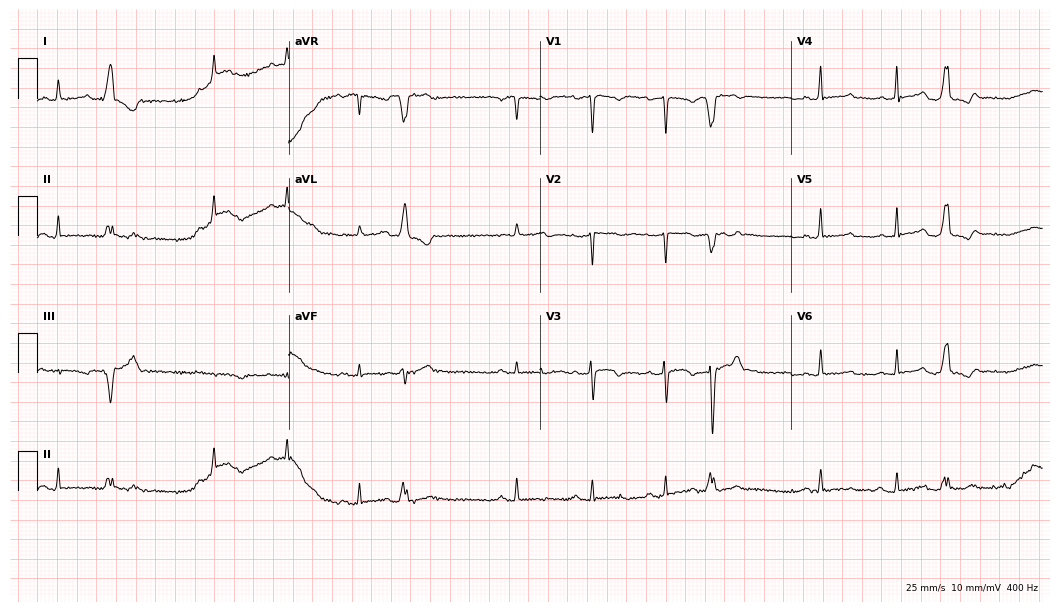
Electrocardiogram, a woman, 28 years old. Of the six screened findings (first-degree AV block, right bundle branch block, left bundle branch block, sinus bradycardia, atrial fibrillation, sinus tachycardia), none is recorded. Other findings, if any, are not listed.